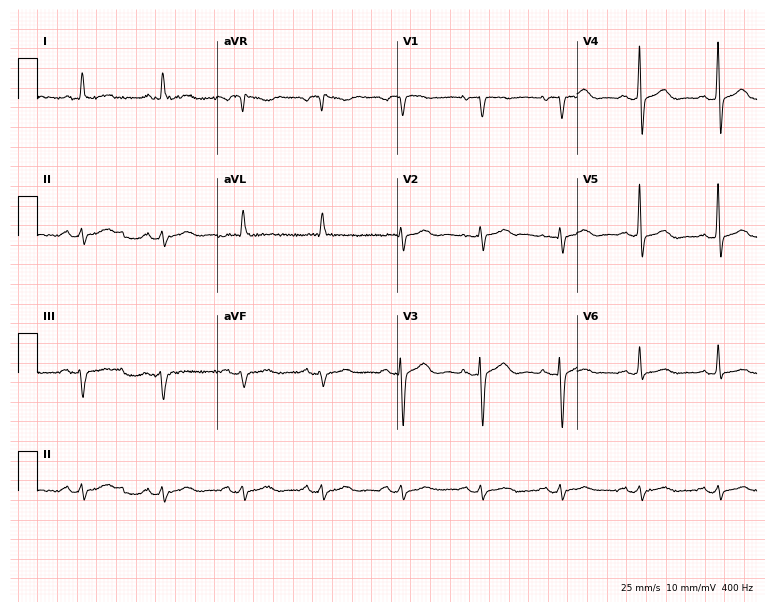
12-lead ECG from an 82-year-old woman. Screened for six findings — first-degree AV block, right bundle branch block, left bundle branch block, sinus bradycardia, atrial fibrillation, sinus tachycardia — none is recorded. Findings outside these six are not listed.